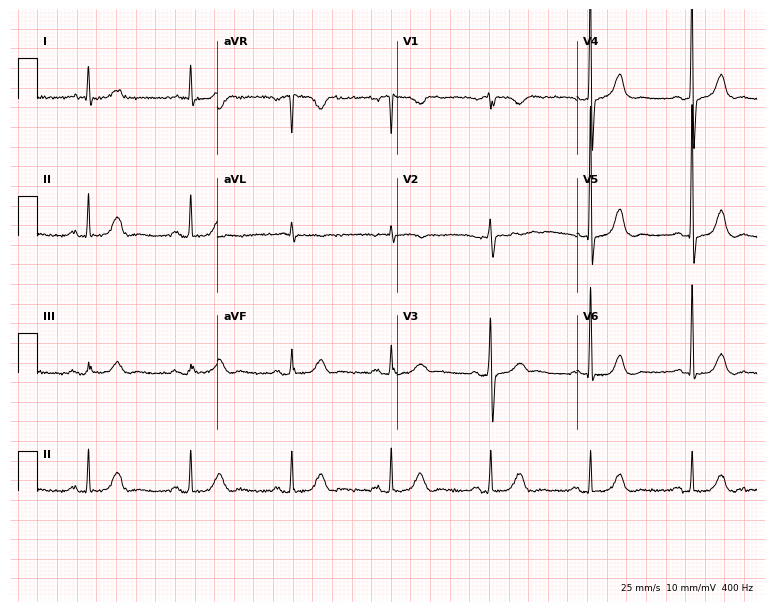
Standard 12-lead ECG recorded from an 83-year-old man (7.3-second recording at 400 Hz). Read as a normal ECG.